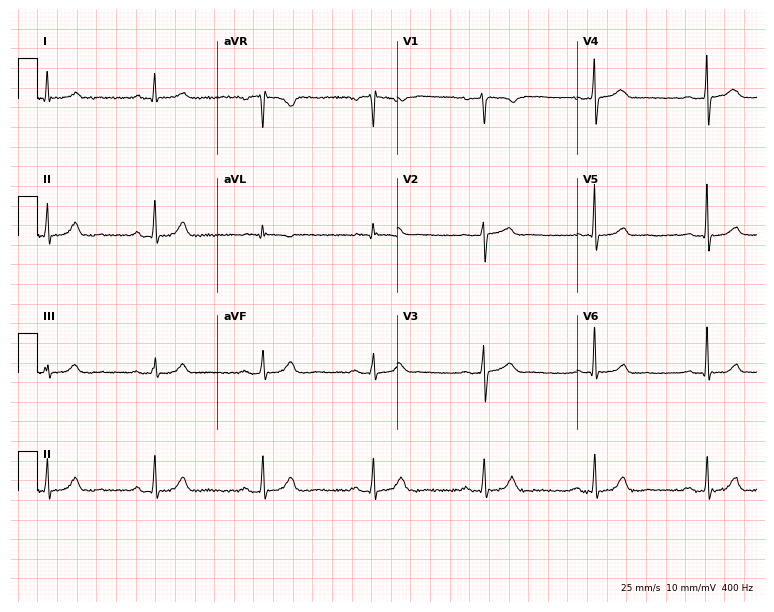
Resting 12-lead electrocardiogram (7.3-second recording at 400 Hz). Patient: a 63-year-old male. Read as a normal ECG.